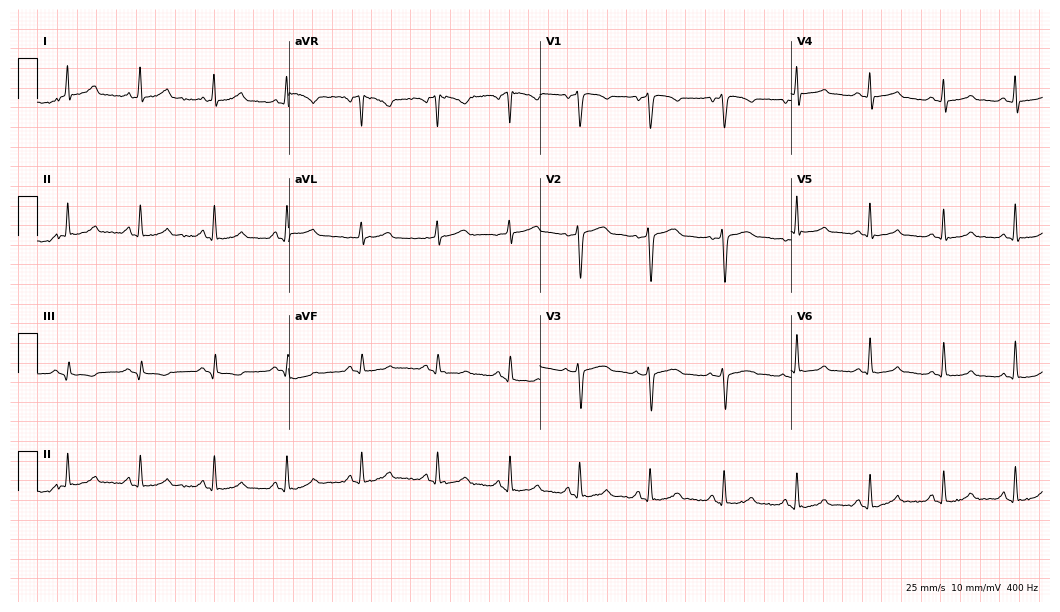
Standard 12-lead ECG recorded from a female, 37 years old. None of these six findings is recorded: first-degree AV block, right bundle branch block, left bundle branch block, sinus bradycardia, atrial fibrillation, sinus tachycardia.